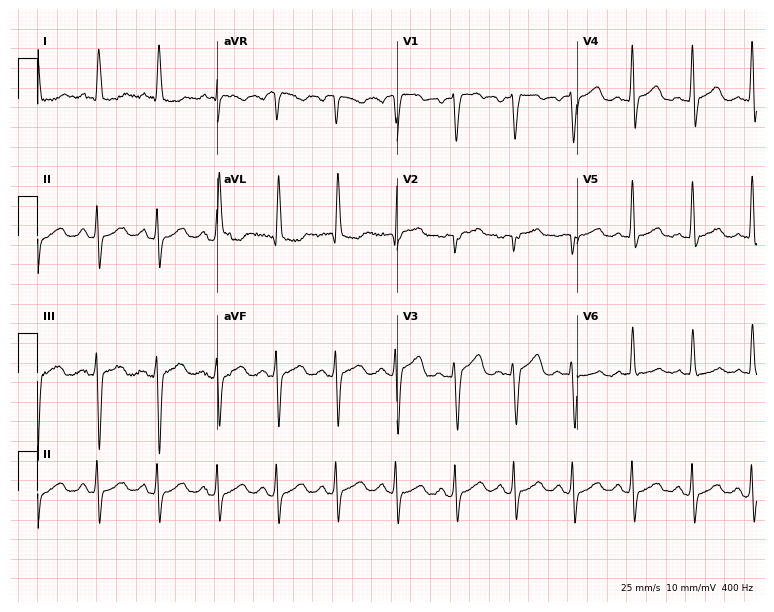
Resting 12-lead electrocardiogram (7.3-second recording at 400 Hz). Patient: a female, 63 years old. None of these six findings is recorded: first-degree AV block, right bundle branch block (RBBB), left bundle branch block (LBBB), sinus bradycardia, atrial fibrillation (AF), sinus tachycardia.